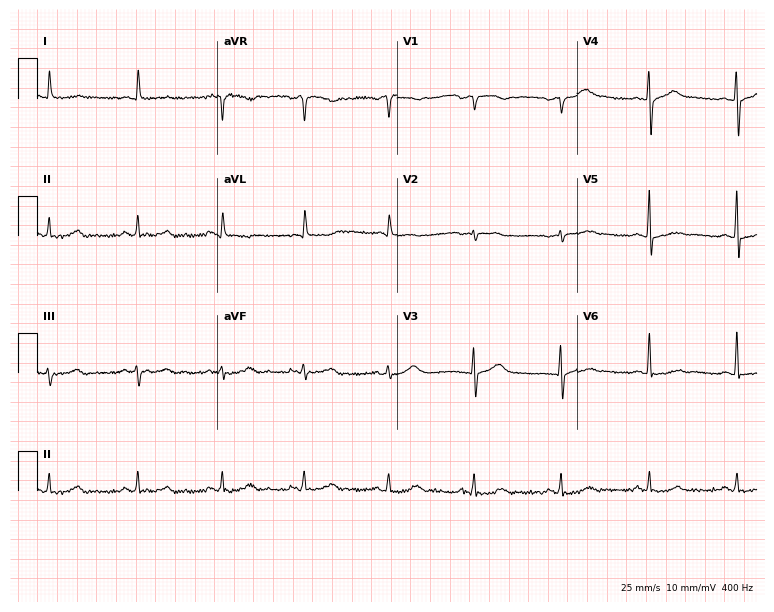
Resting 12-lead electrocardiogram. Patient: a female, 83 years old. Read as a normal ECG.